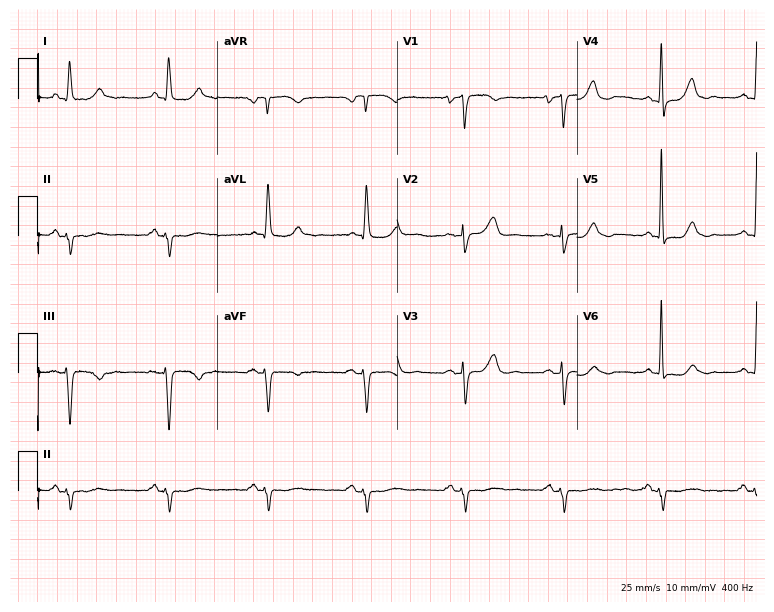
Electrocardiogram, a female patient, 71 years old. Of the six screened findings (first-degree AV block, right bundle branch block (RBBB), left bundle branch block (LBBB), sinus bradycardia, atrial fibrillation (AF), sinus tachycardia), none is recorded.